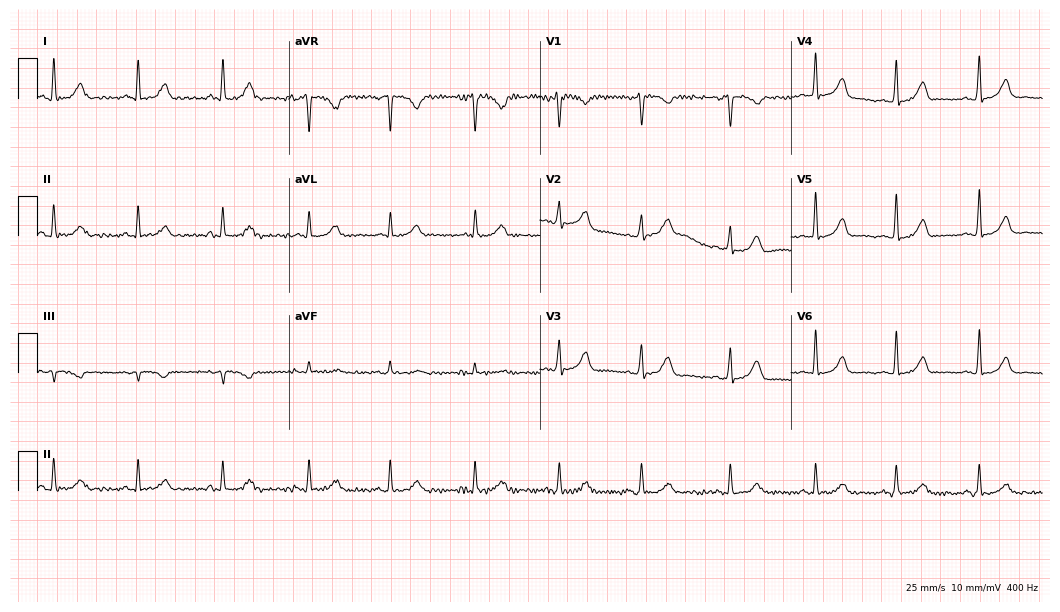
ECG — a female, 59 years old. Labelled as a normal ECG.